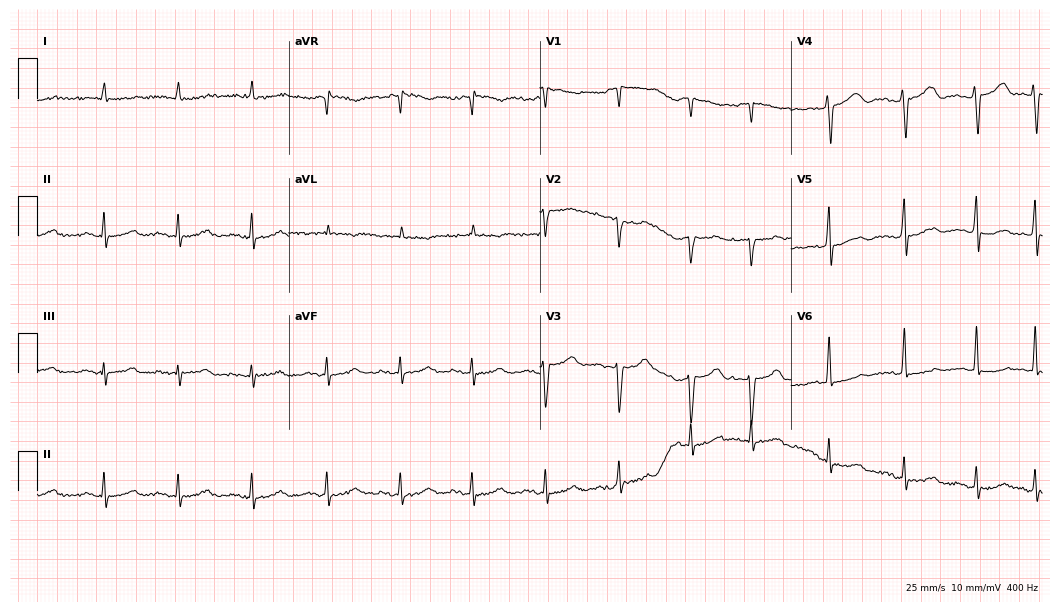
Electrocardiogram, a 64-year-old male patient. Overall reading on record: normal ECG.